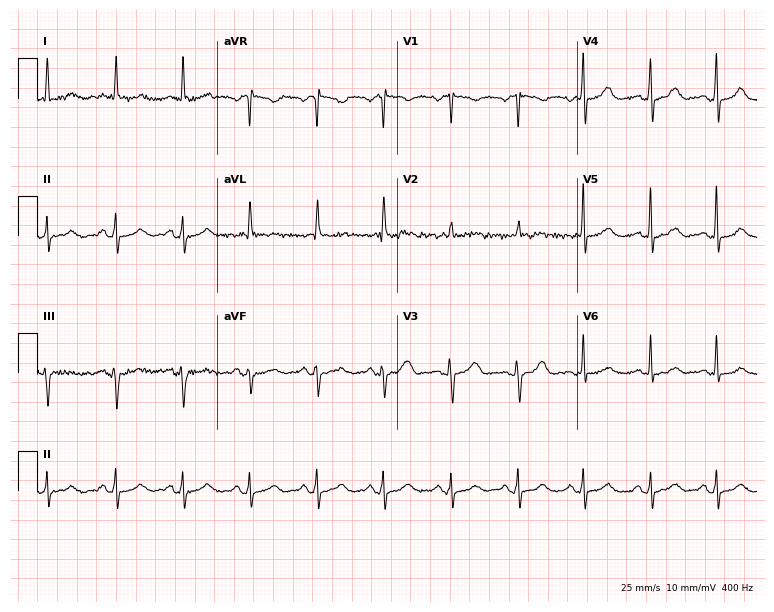
12-lead ECG from an 85-year-old female. No first-degree AV block, right bundle branch block, left bundle branch block, sinus bradycardia, atrial fibrillation or sinus tachycardia recorded for this tracing. Other findings, if any, are not listed.